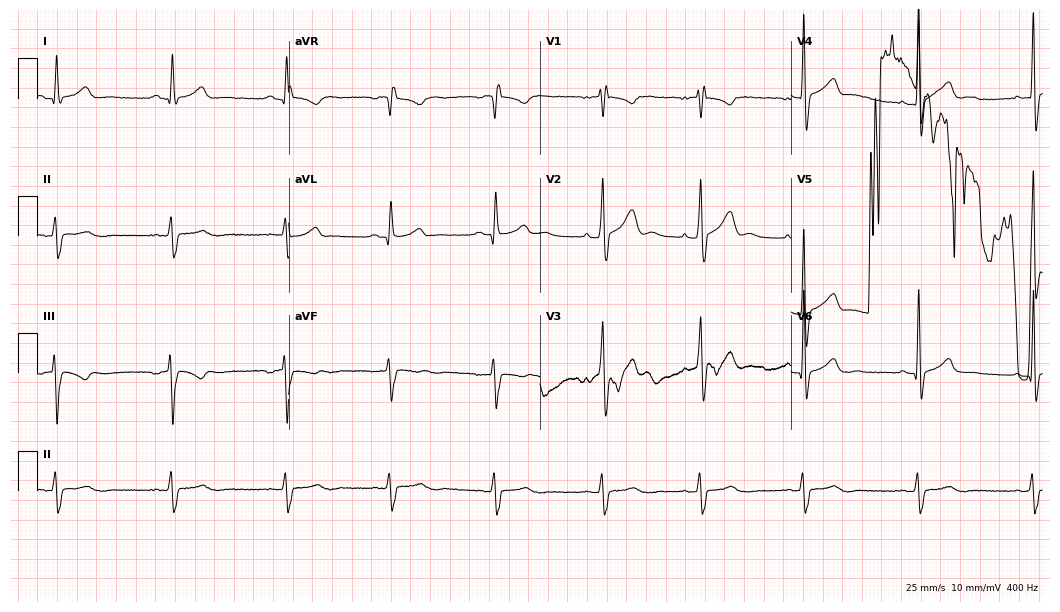
Standard 12-lead ECG recorded from a man, 30 years old. None of these six findings is recorded: first-degree AV block, right bundle branch block, left bundle branch block, sinus bradycardia, atrial fibrillation, sinus tachycardia.